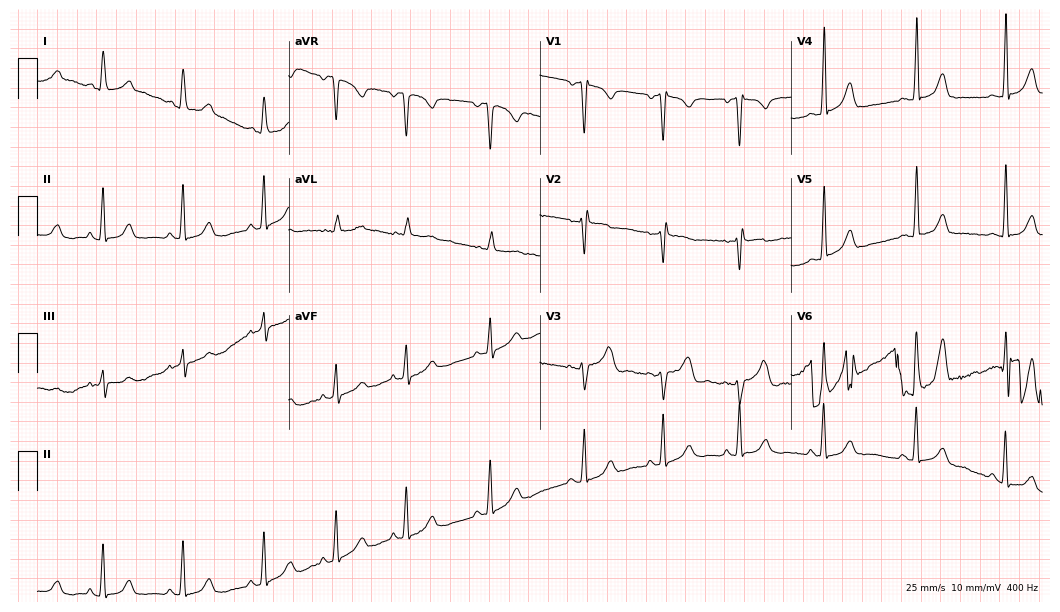
Resting 12-lead electrocardiogram. Patient: a female, 26 years old. None of these six findings is recorded: first-degree AV block, right bundle branch block, left bundle branch block, sinus bradycardia, atrial fibrillation, sinus tachycardia.